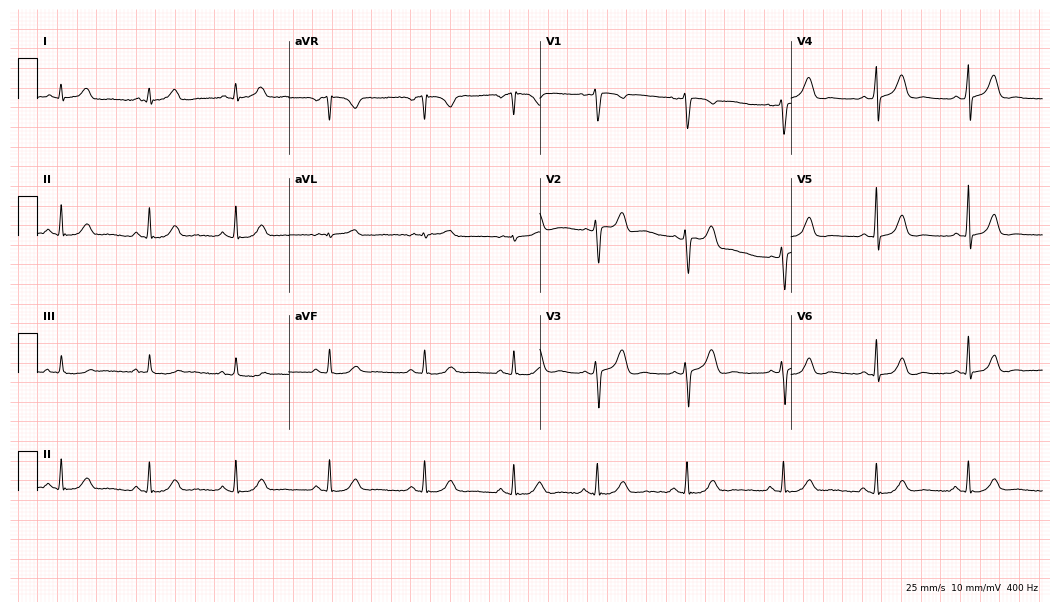
Resting 12-lead electrocardiogram (10.2-second recording at 400 Hz). Patient: a 27-year-old female. Read as a normal ECG.